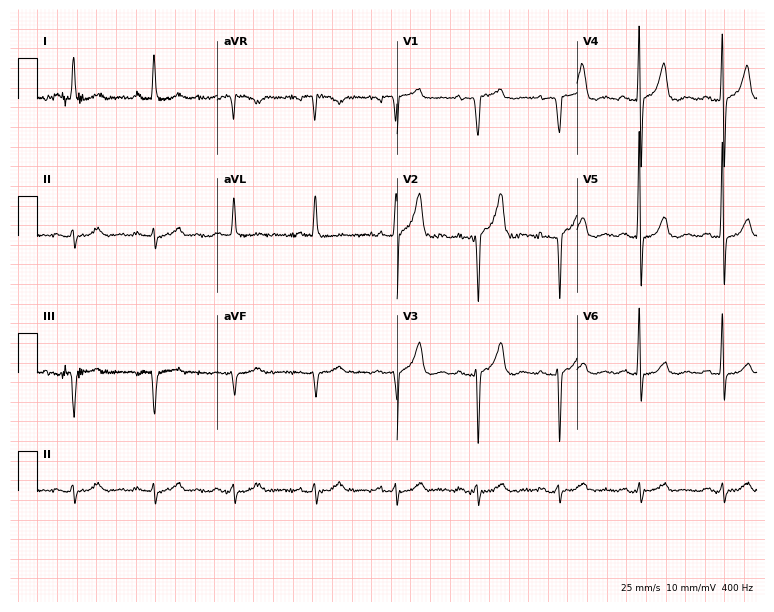
Standard 12-lead ECG recorded from a woman, 73 years old (7.3-second recording at 400 Hz). None of these six findings is recorded: first-degree AV block, right bundle branch block (RBBB), left bundle branch block (LBBB), sinus bradycardia, atrial fibrillation (AF), sinus tachycardia. Other findings, if any, are not listed.